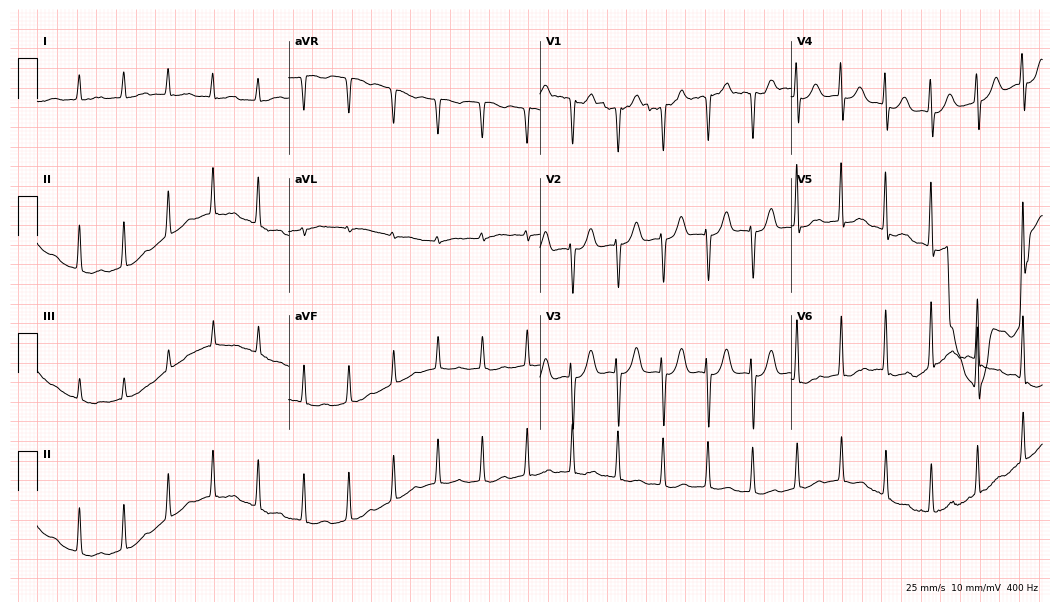
ECG (10.2-second recording at 400 Hz) — a female, 50 years old. Findings include sinus tachycardia (a sinus rate of 100 beats per minute or more).